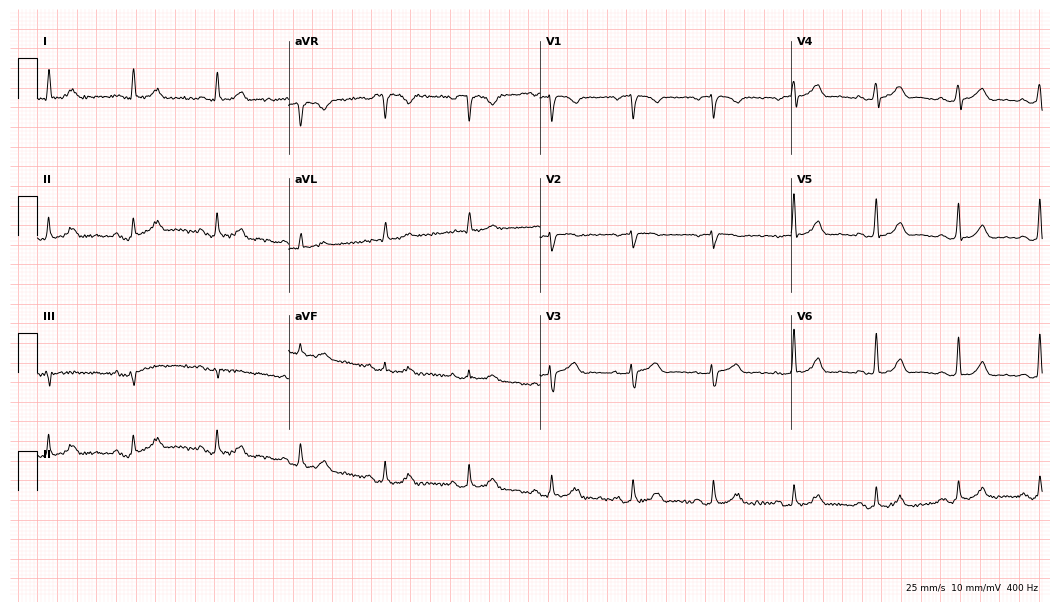
Standard 12-lead ECG recorded from a 54-year-old male patient (10.2-second recording at 400 Hz). None of these six findings is recorded: first-degree AV block, right bundle branch block (RBBB), left bundle branch block (LBBB), sinus bradycardia, atrial fibrillation (AF), sinus tachycardia. Findings outside these six are not listed.